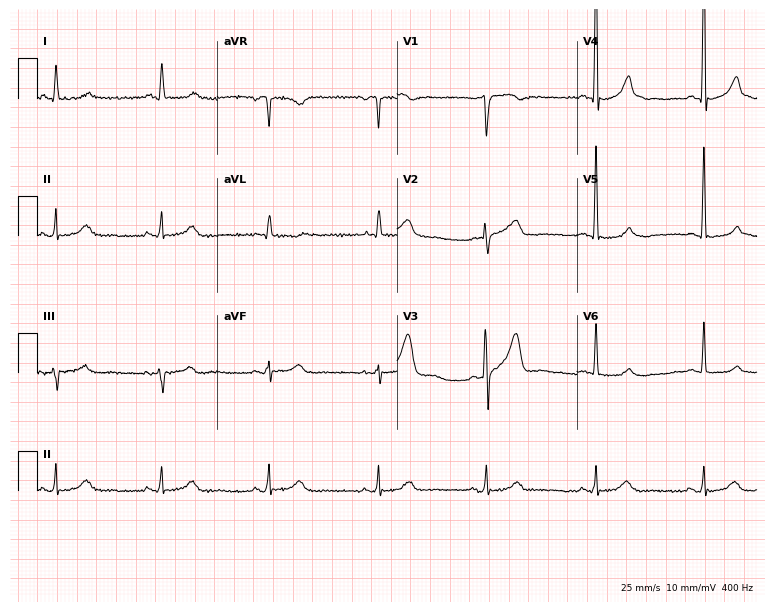
Resting 12-lead electrocardiogram (7.3-second recording at 400 Hz). Patient: a 31-year-old man. Read as a normal ECG.